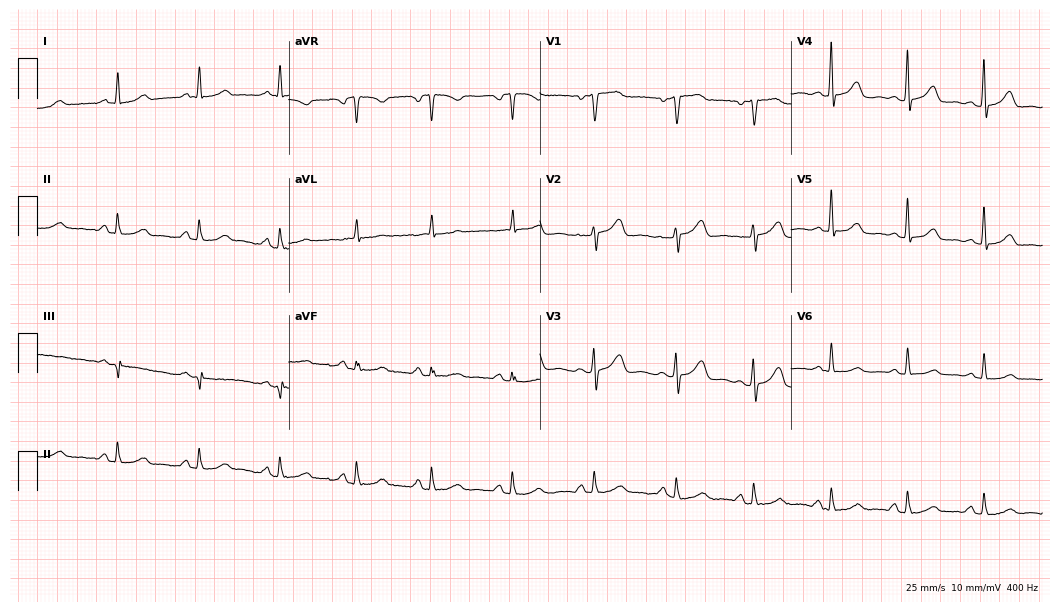
12-lead ECG from a 61-year-old woman. Recorded interpretation: within normal limits.